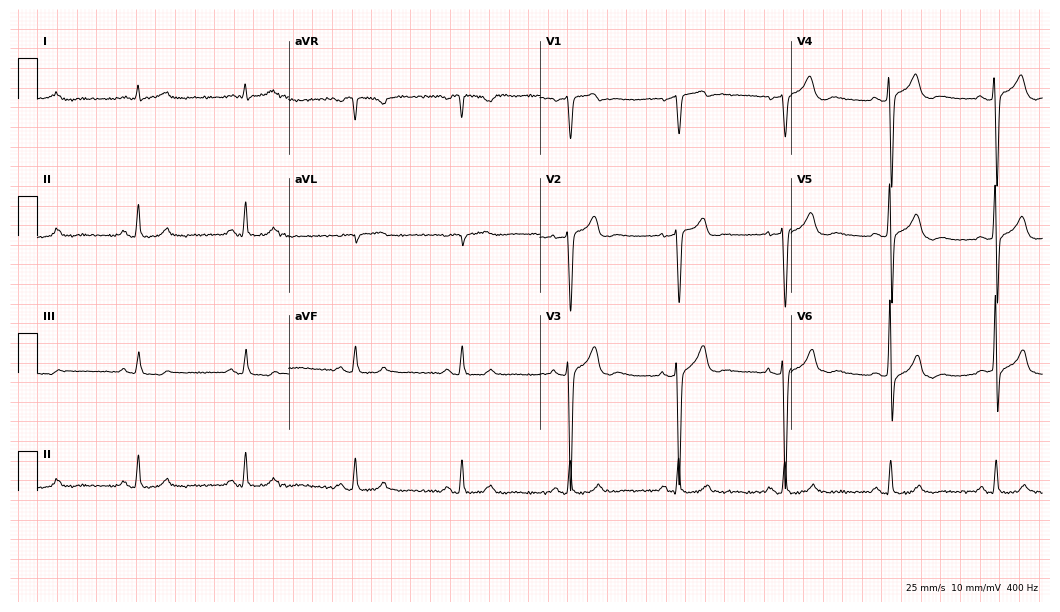
ECG — a 70-year-old man. Labelled as a normal ECG.